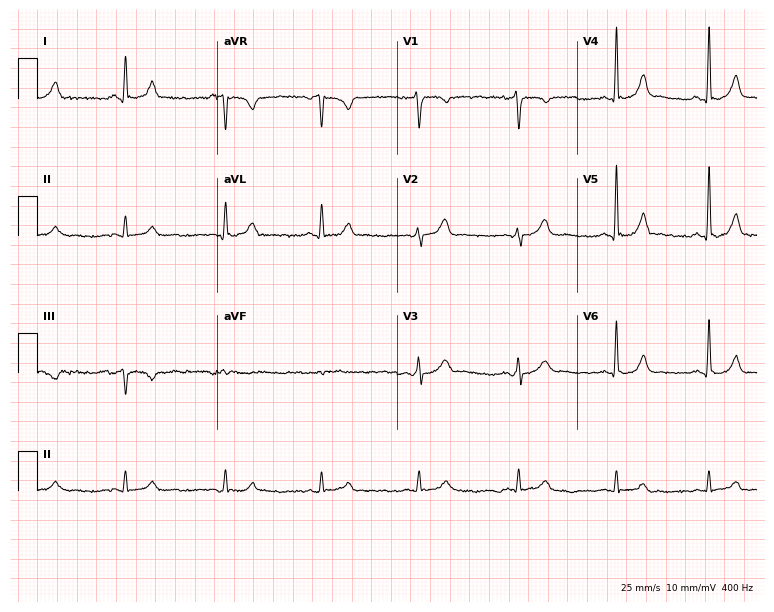
12-lead ECG from a female patient, 39 years old. Recorded interpretation: within normal limits.